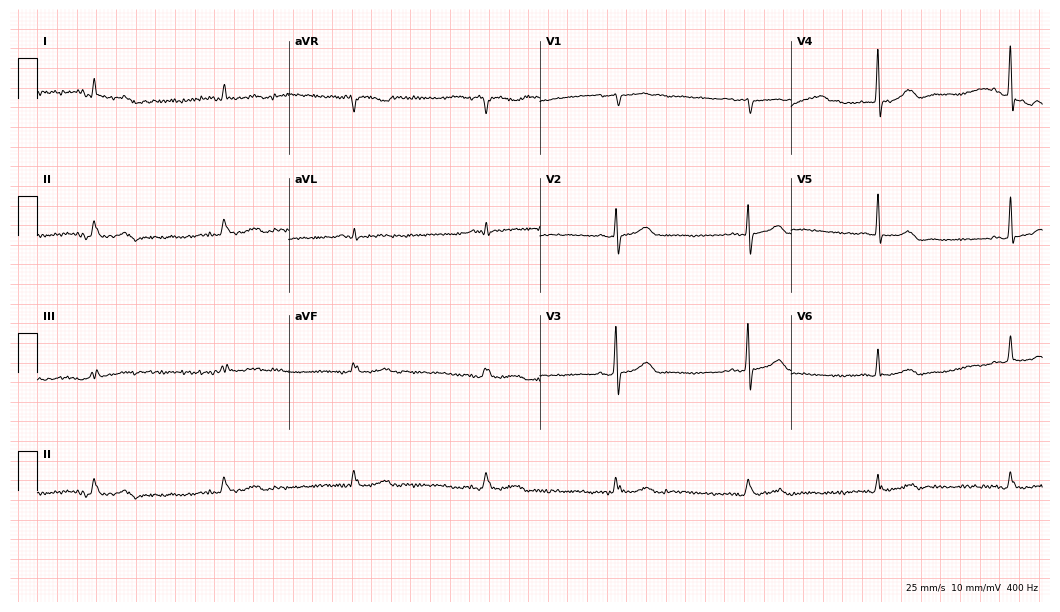
12-lead ECG from an 80-year-old male patient. No first-degree AV block, right bundle branch block (RBBB), left bundle branch block (LBBB), sinus bradycardia, atrial fibrillation (AF) or sinus tachycardia recorded for this tracing. Findings outside these six are not listed.